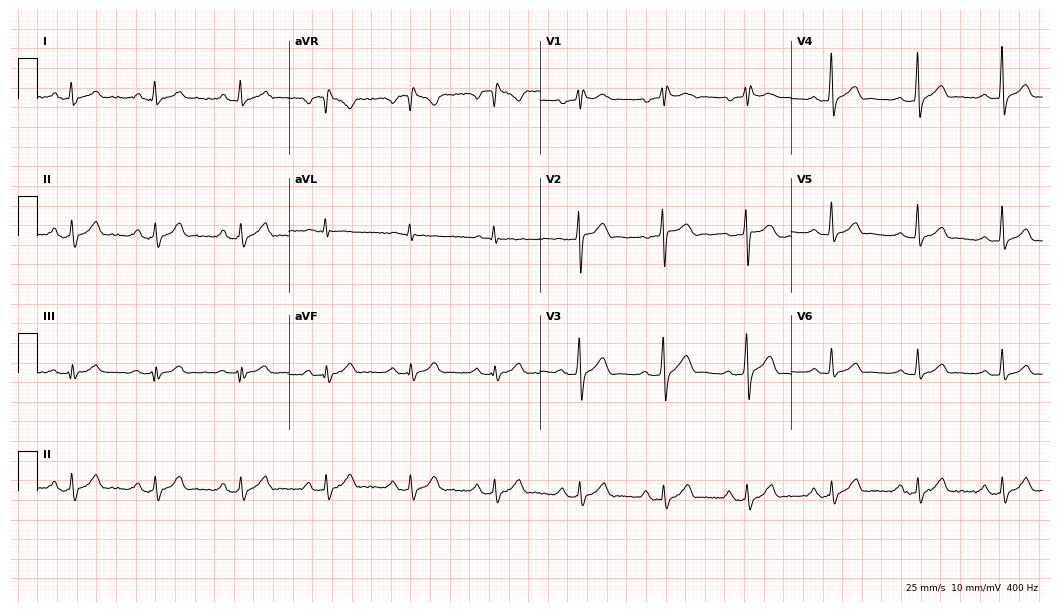
Electrocardiogram, a 46-year-old male patient. Of the six screened findings (first-degree AV block, right bundle branch block, left bundle branch block, sinus bradycardia, atrial fibrillation, sinus tachycardia), none is recorded. Other findings, if any, are not listed.